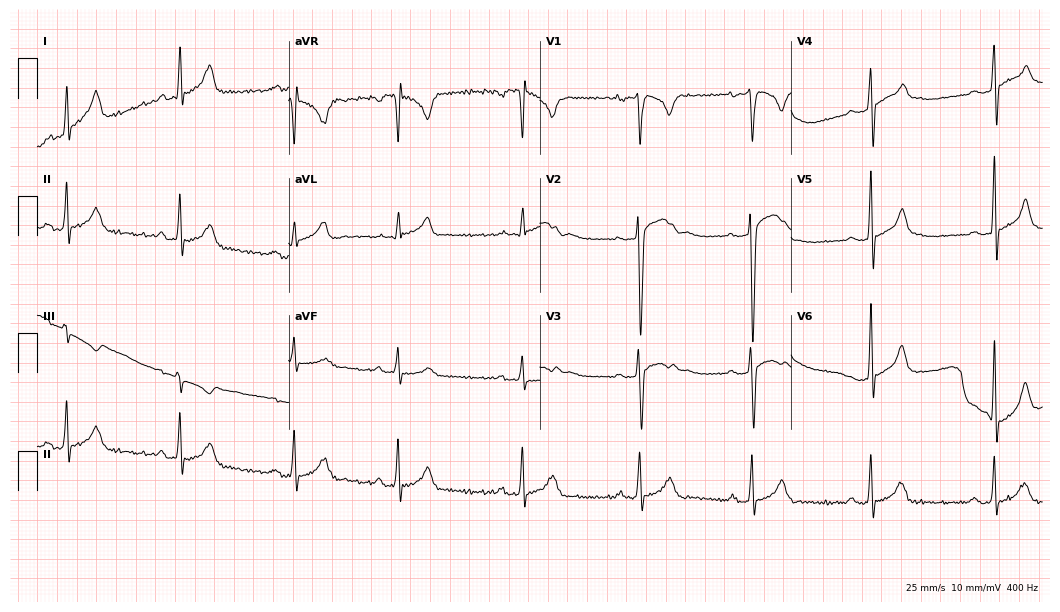
Resting 12-lead electrocardiogram (10.2-second recording at 400 Hz). Patient: a 26-year-old man. Read as a normal ECG.